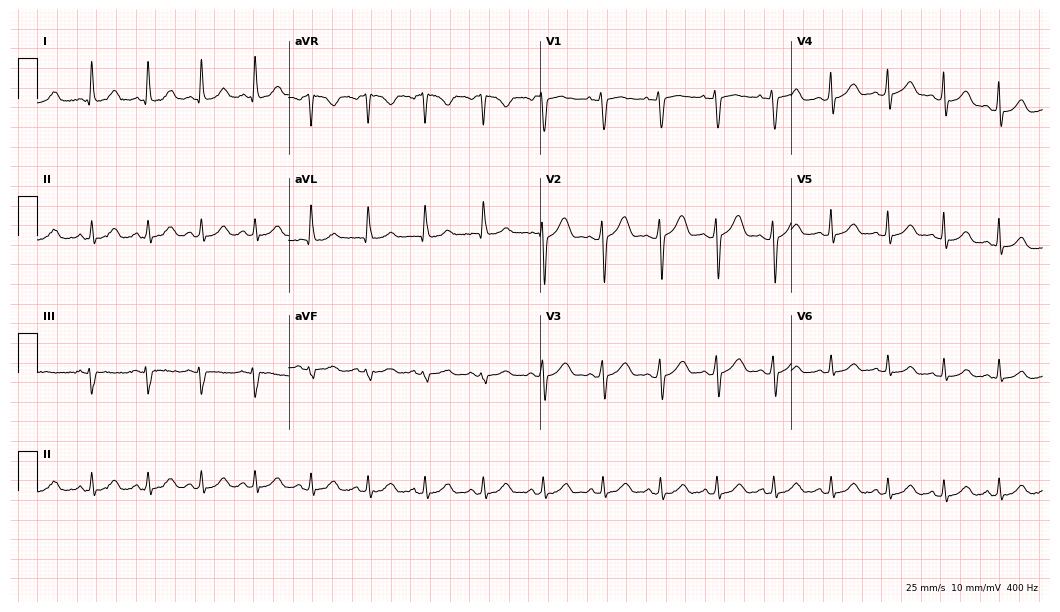
12-lead ECG (10.2-second recording at 400 Hz) from a 30-year-old female patient. Findings include sinus tachycardia (a sinus rate of 100 beats per minute or more).